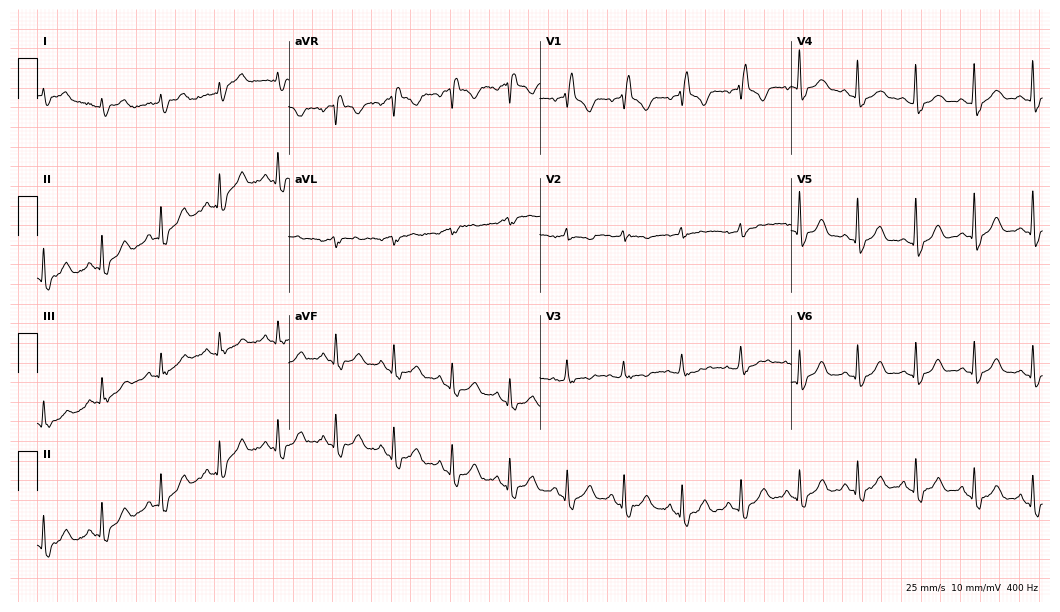
ECG (10.2-second recording at 400 Hz) — an 81-year-old woman. Screened for six findings — first-degree AV block, right bundle branch block (RBBB), left bundle branch block (LBBB), sinus bradycardia, atrial fibrillation (AF), sinus tachycardia — none is recorded.